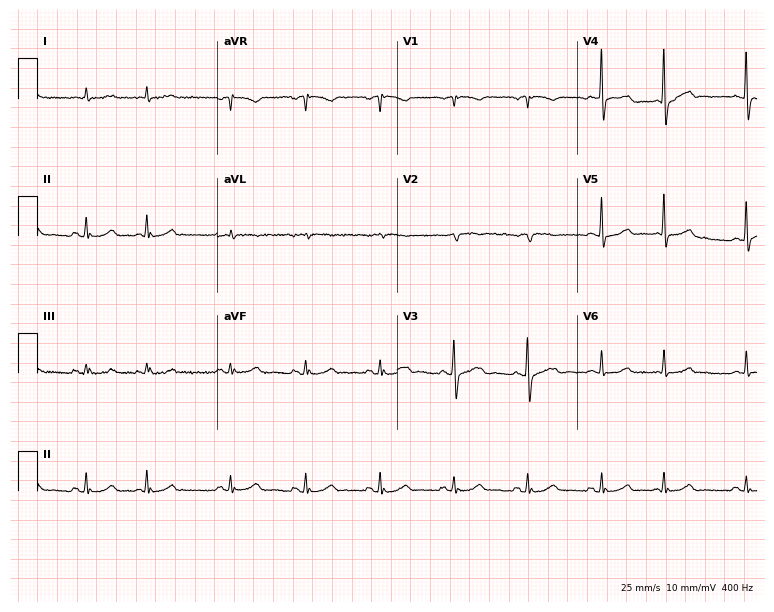
Standard 12-lead ECG recorded from a woman, 79 years old. Read as a normal ECG.